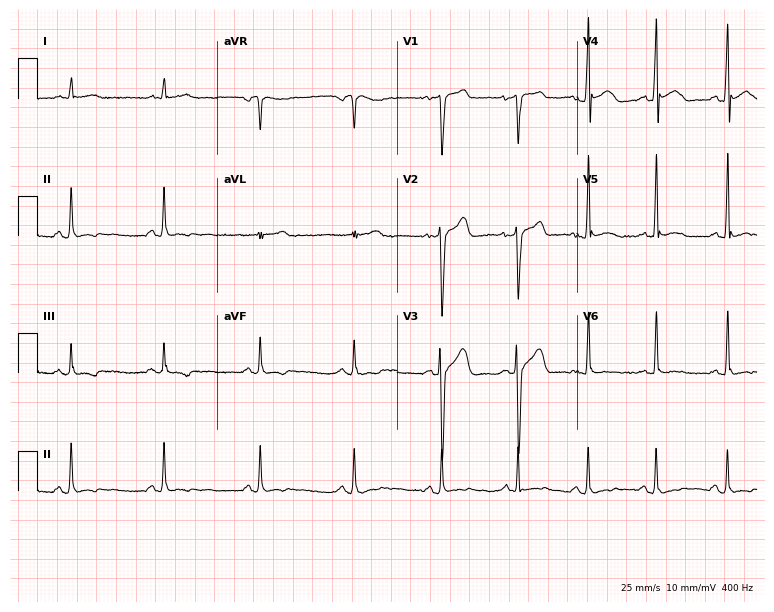
Resting 12-lead electrocardiogram (7.3-second recording at 400 Hz). Patient: a 30-year-old male. None of these six findings is recorded: first-degree AV block, right bundle branch block (RBBB), left bundle branch block (LBBB), sinus bradycardia, atrial fibrillation (AF), sinus tachycardia.